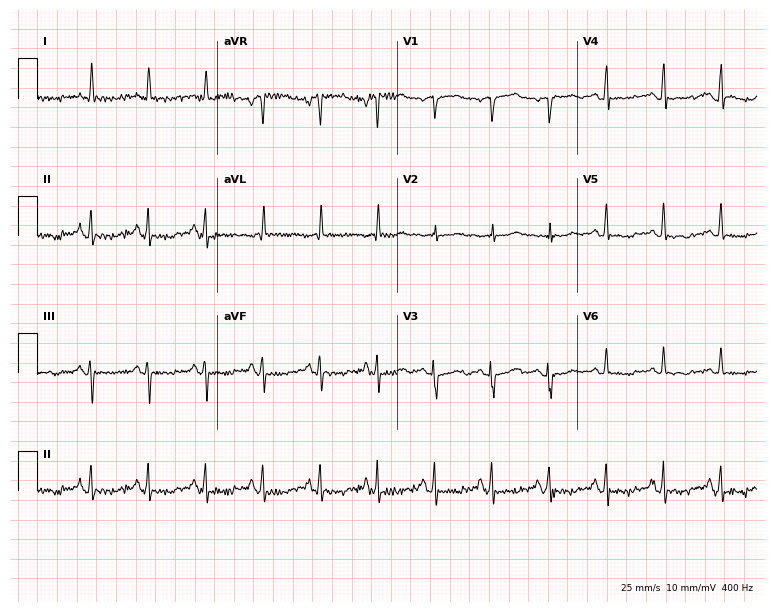
Resting 12-lead electrocardiogram. Patient: a 51-year-old woman. None of these six findings is recorded: first-degree AV block, right bundle branch block, left bundle branch block, sinus bradycardia, atrial fibrillation, sinus tachycardia. Only these six findings were labelled.